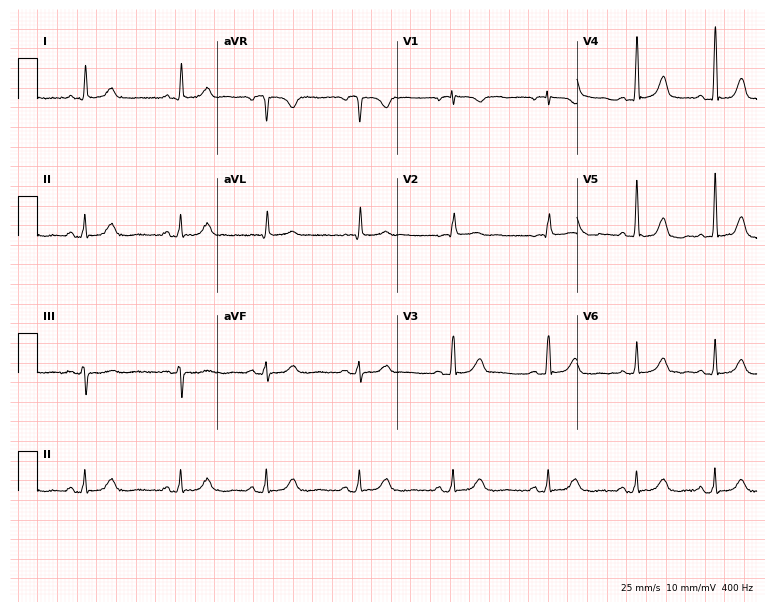
Electrocardiogram, a 71-year-old female. Overall reading on record: normal ECG.